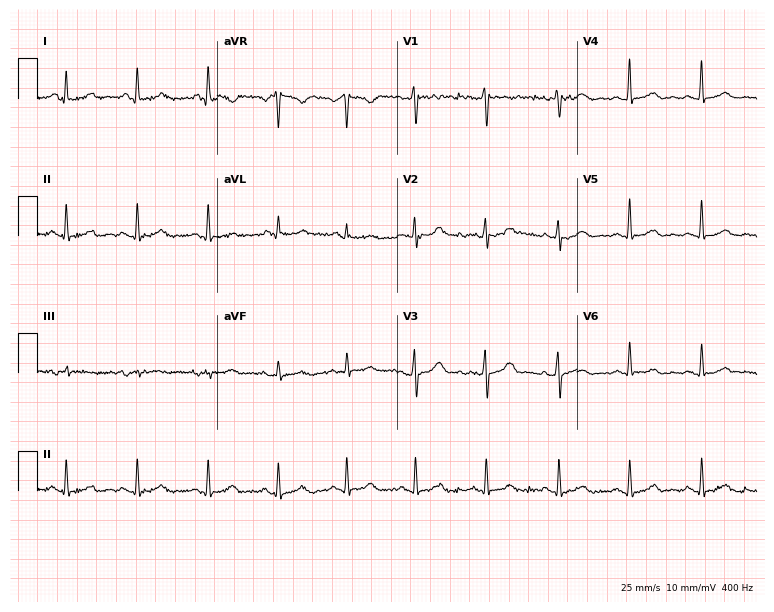
12-lead ECG (7.3-second recording at 400 Hz) from a female patient, 35 years old. Labelled as a normal ECG.